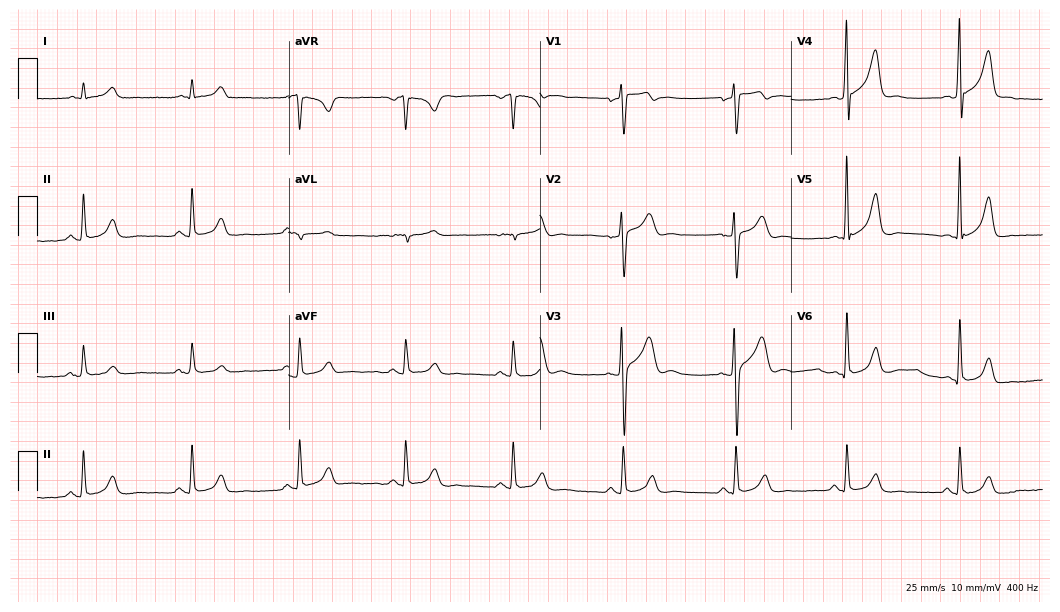
12-lead ECG from a male patient, 37 years old. Recorded interpretation: within normal limits.